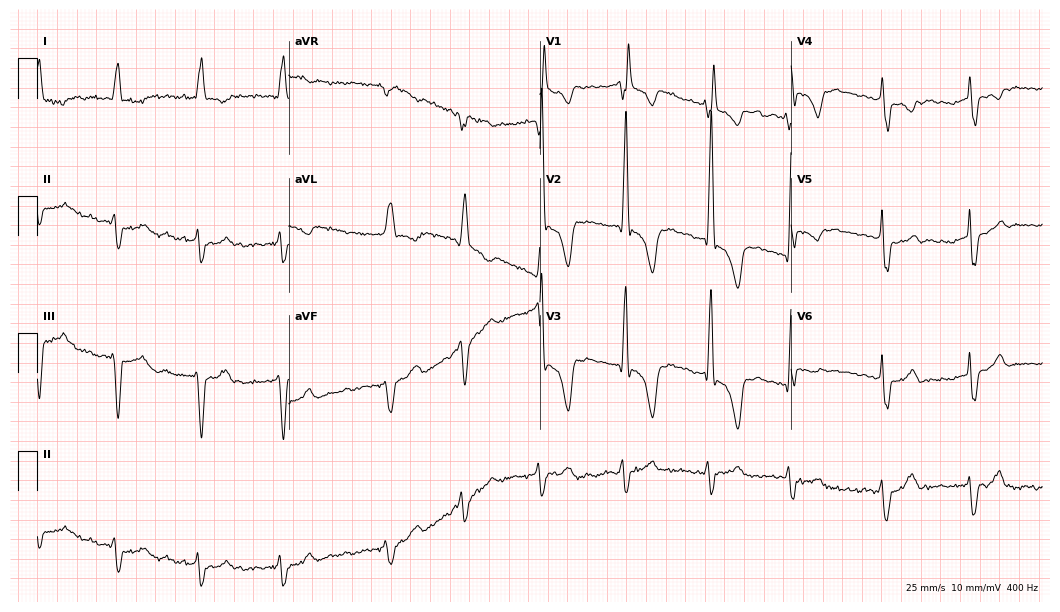
12-lead ECG (10.2-second recording at 400 Hz) from a man, 81 years old. Screened for six findings — first-degree AV block, right bundle branch block, left bundle branch block, sinus bradycardia, atrial fibrillation, sinus tachycardia — none is recorded. Only these six findings were labelled.